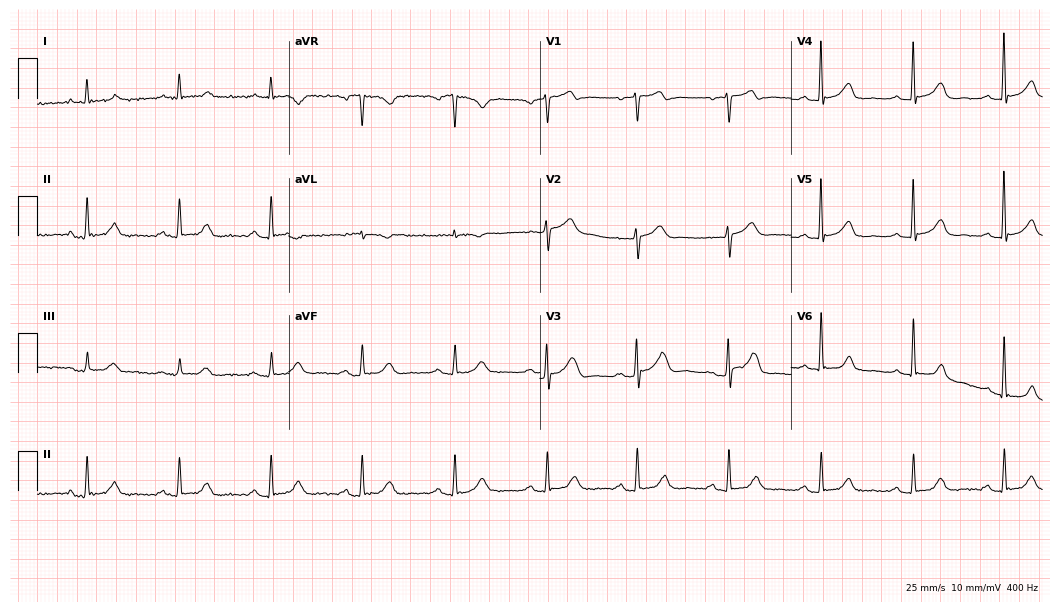
ECG — a female, 67 years old. Screened for six findings — first-degree AV block, right bundle branch block, left bundle branch block, sinus bradycardia, atrial fibrillation, sinus tachycardia — none is recorded.